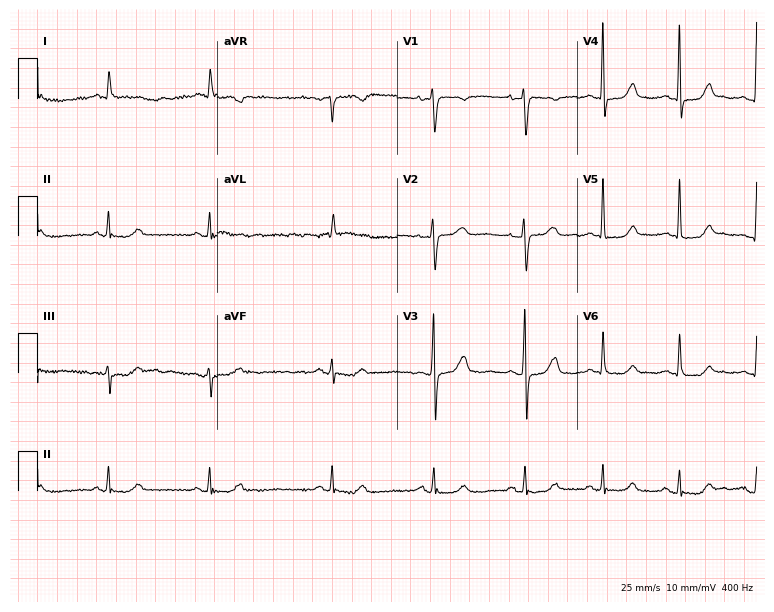
Standard 12-lead ECG recorded from a female, 75 years old (7.3-second recording at 400 Hz). None of these six findings is recorded: first-degree AV block, right bundle branch block, left bundle branch block, sinus bradycardia, atrial fibrillation, sinus tachycardia.